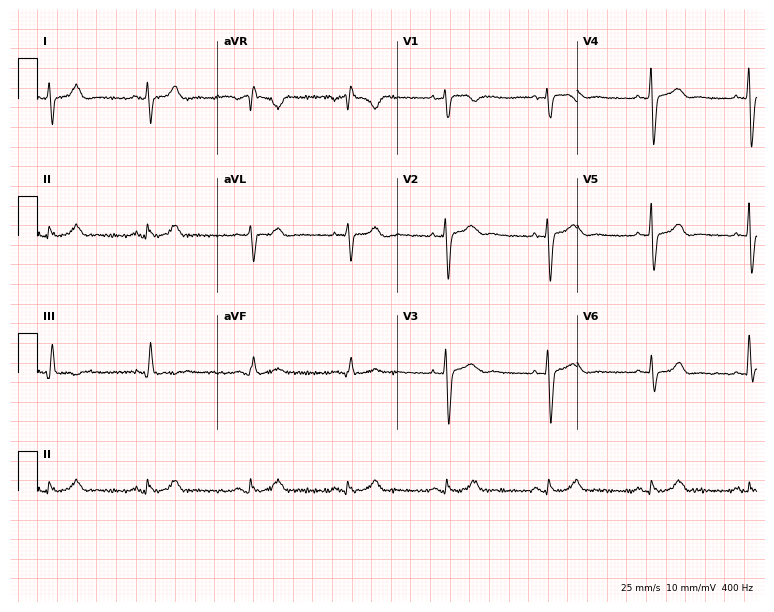
12-lead ECG from a 39-year-old female patient. Screened for six findings — first-degree AV block, right bundle branch block, left bundle branch block, sinus bradycardia, atrial fibrillation, sinus tachycardia — none is recorded.